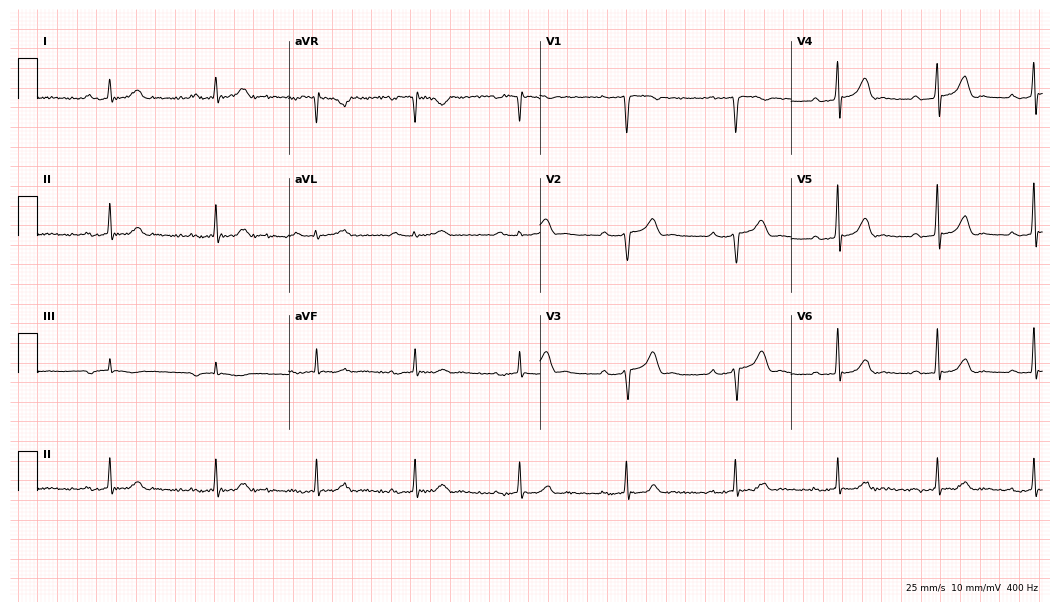
Standard 12-lead ECG recorded from a male patient, 30 years old. The tracing shows first-degree AV block.